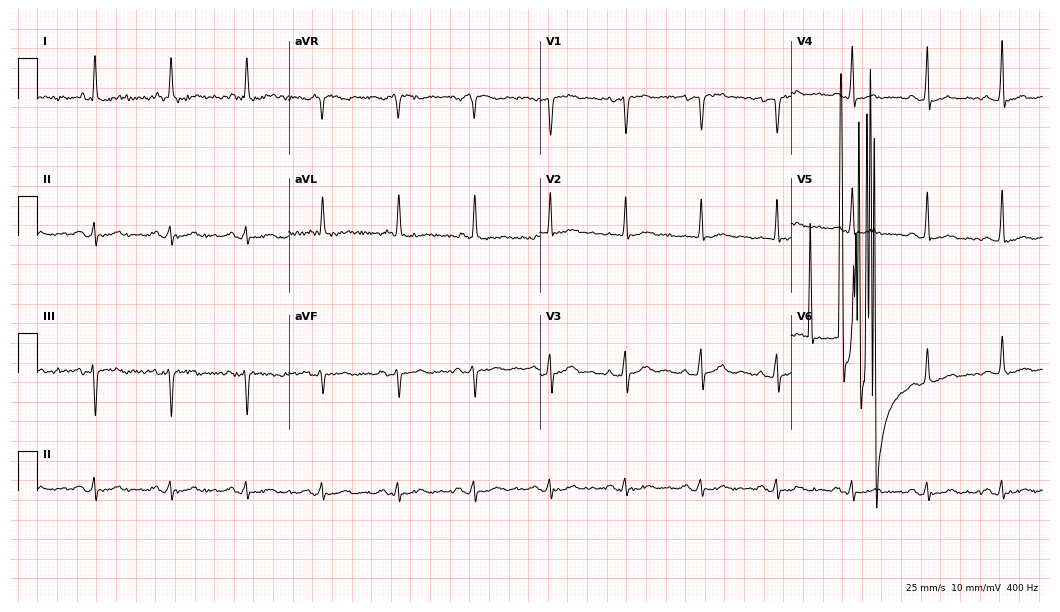
ECG — a male, 65 years old. Screened for six findings — first-degree AV block, right bundle branch block (RBBB), left bundle branch block (LBBB), sinus bradycardia, atrial fibrillation (AF), sinus tachycardia — none is recorded.